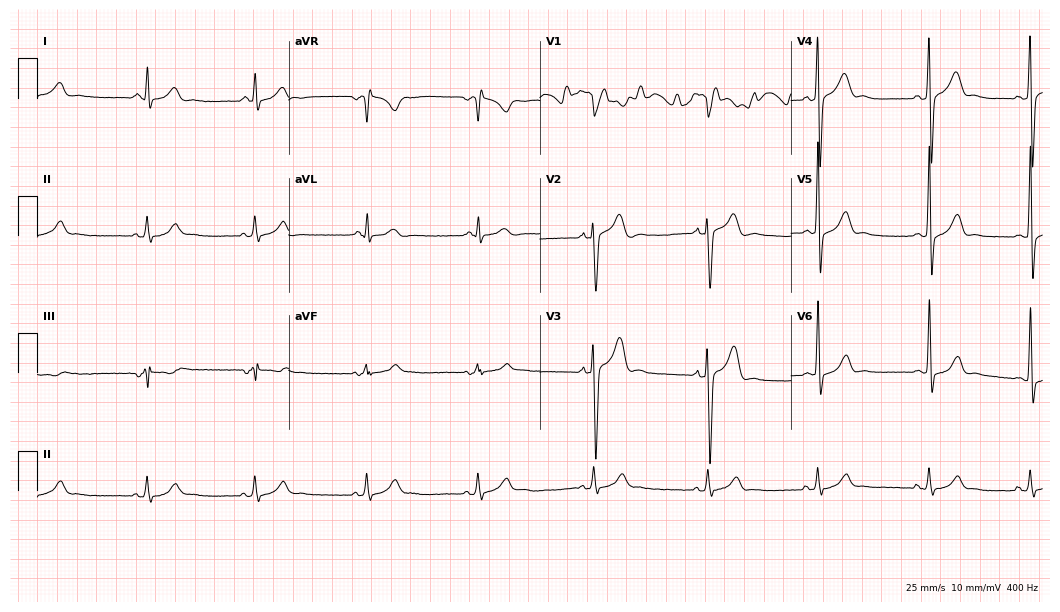
Electrocardiogram, a male, 24 years old. Of the six screened findings (first-degree AV block, right bundle branch block (RBBB), left bundle branch block (LBBB), sinus bradycardia, atrial fibrillation (AF), sinus tachycardia), none is recorded. Findings outside these six are not listed.